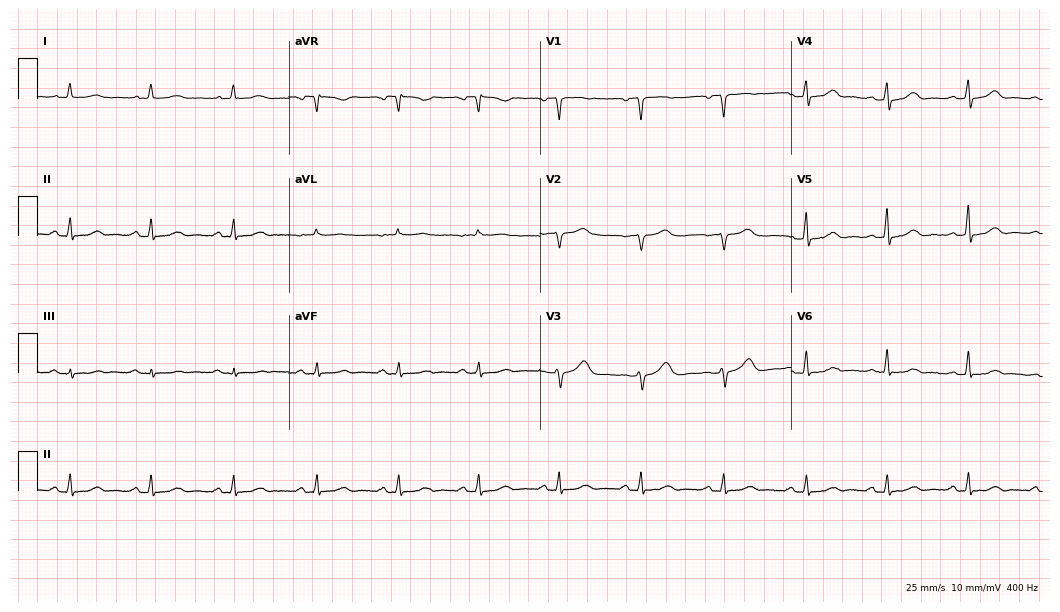
Standard 12-lead ECG recorded from a female, 46 years old (10.2-second recording at 400 Hz). Read as a normal ECG.